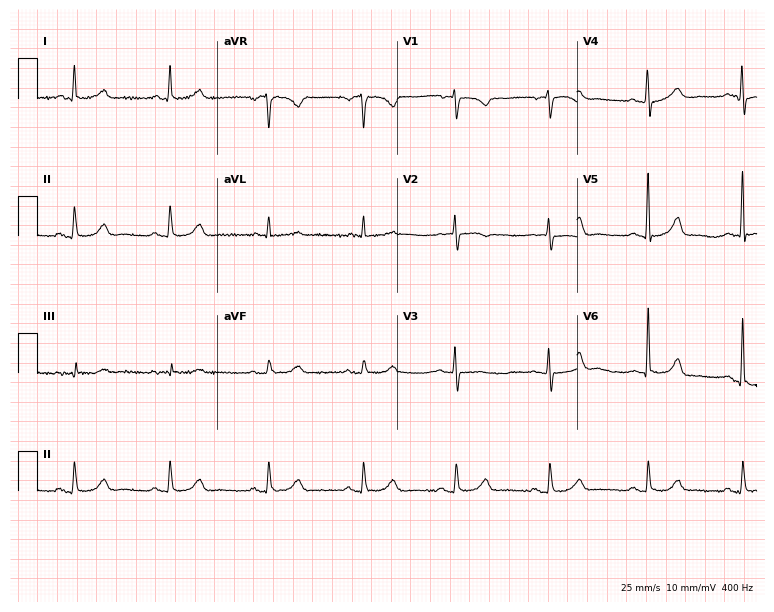
Standard 12-lead ECG recorded from a female, 79 years old (7.3-second recording at 400 Hz). Read as a normal ECG.